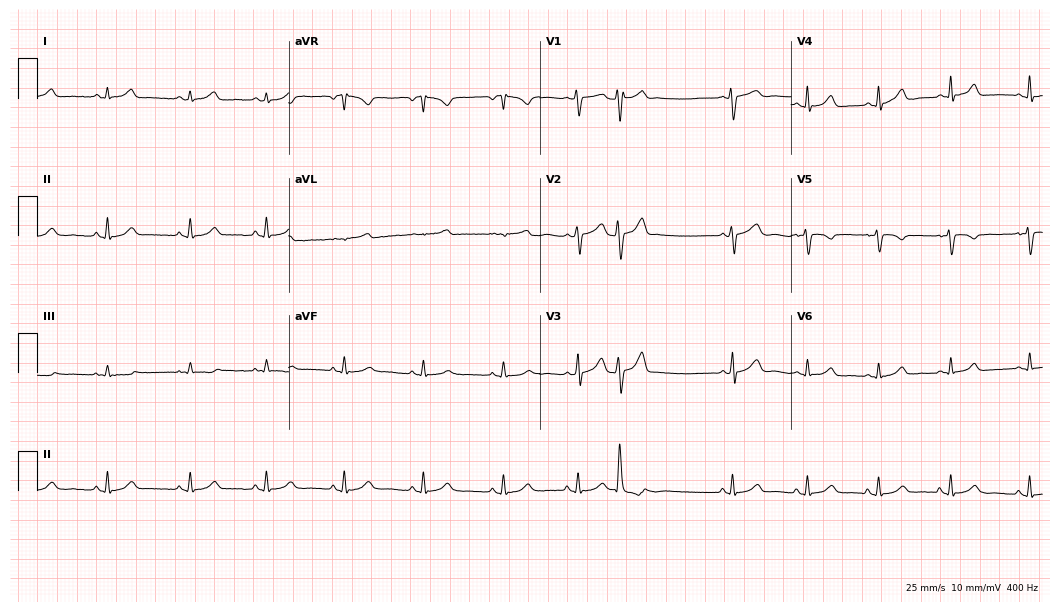
ECG — a male patient, 39 years old. Labelled as a normal ECG.